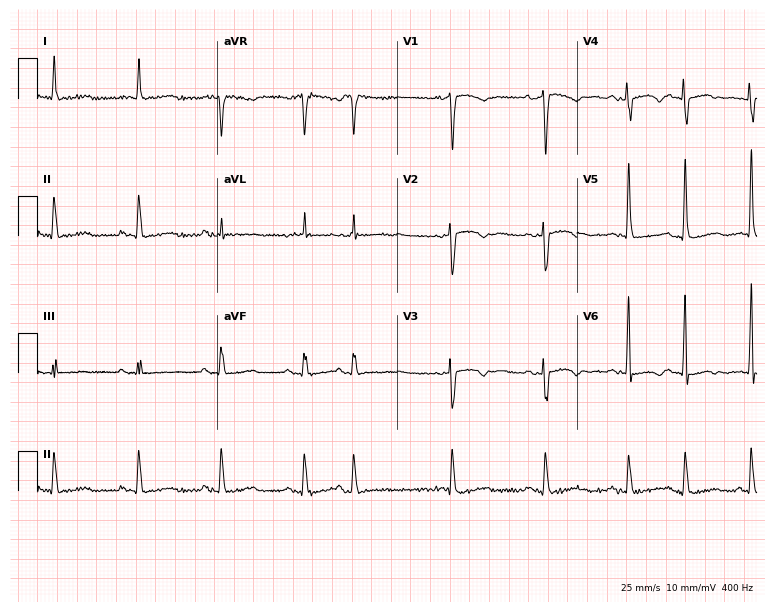
12-lead ECG from a 71-year-old female (7.3-second recording at 400 Hz). No first-degree AV block, right bundle branch block, left bundle branch block, sinus bradycardia, atrial fibrillation or sinus tachycardia recorded for this tracing.